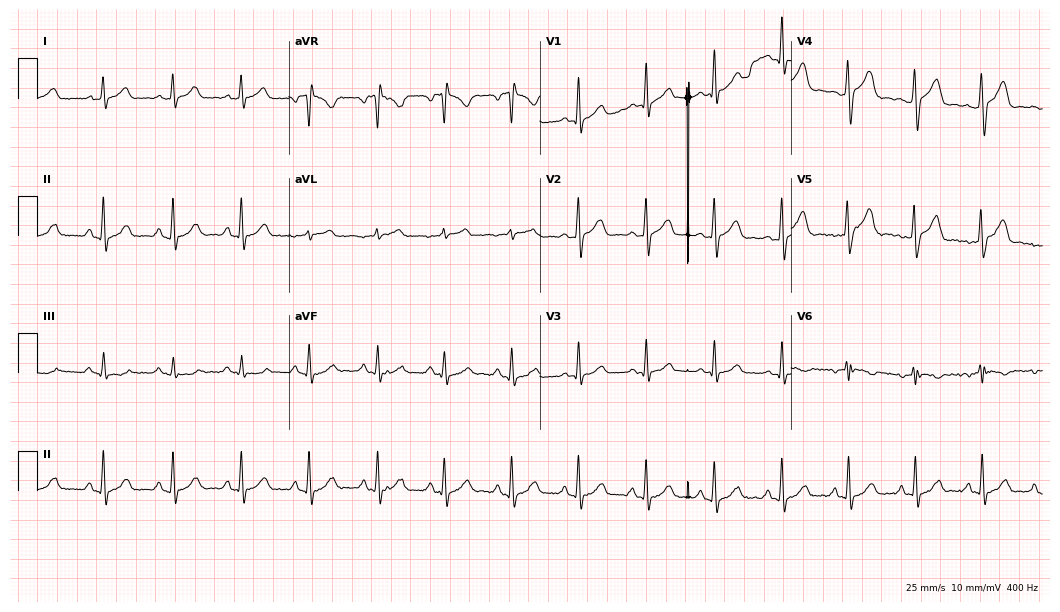
12-lead ECG from a male, 27 years old. No first-degree AV block, right bundle branch block (RBBB), left bundle branch block (LBBB), sinus bradycardia, atrial fibrillation (AF) or sinus tachycardia recorded for this tracing. Findings outside these six are not listed.